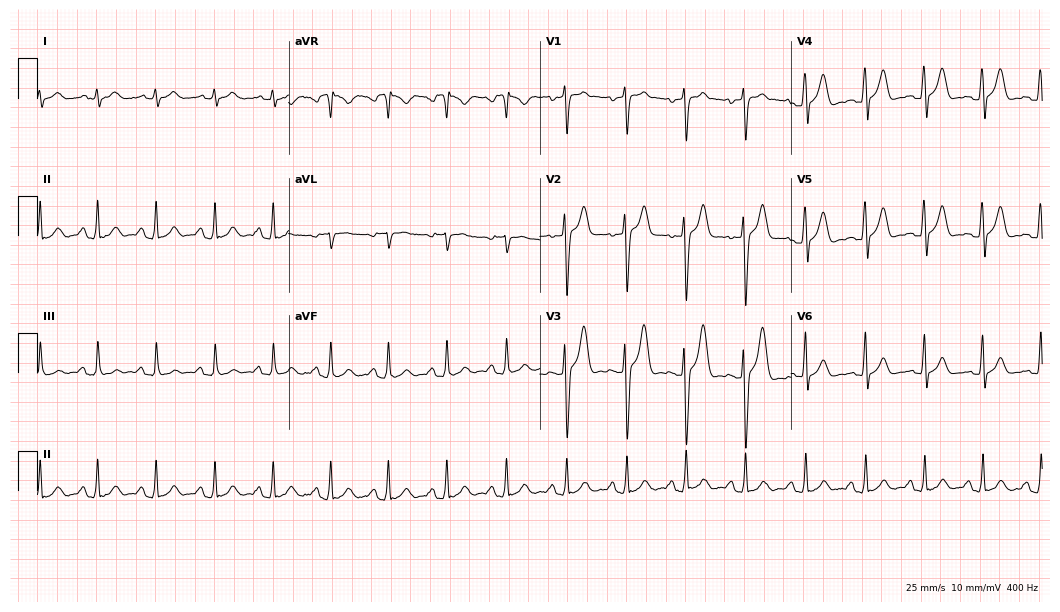
ECG (10.2-second recording at 400 Hz) — a 23-year-old male. Findings include sinus tachycardia (a sinus rate of 100 beats per minute or more).